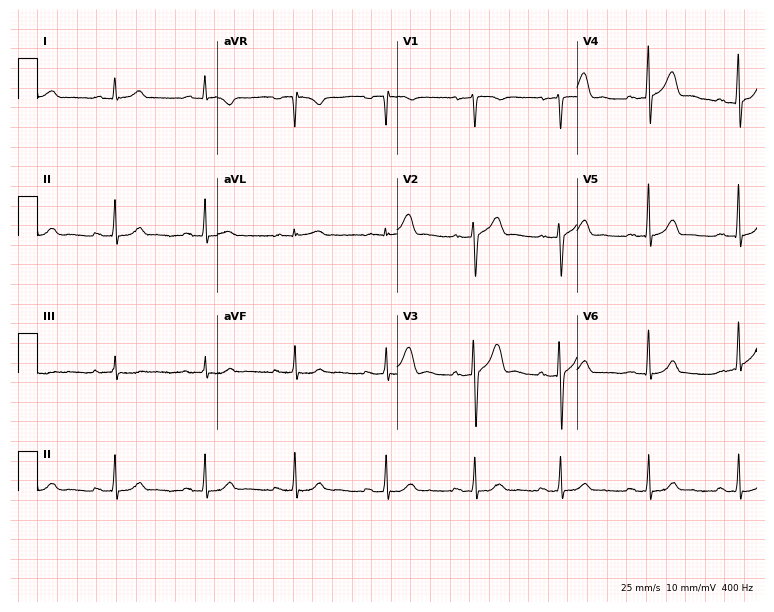
Standard 12-lead ECG recorded from a 41-year-old male (7.3-second recording at 400 Hz). Read as a normal ECG.